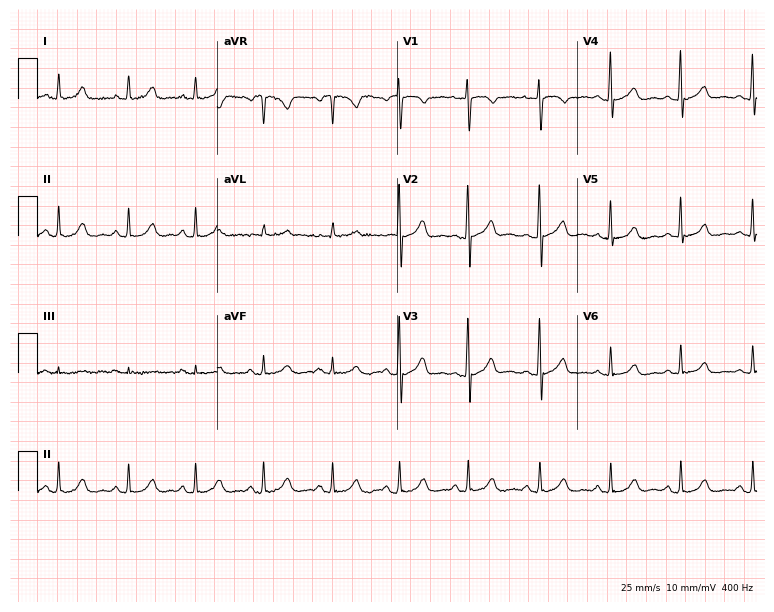
12-lead ECG (7.3-second recording at 400 Hz) from a woman, 26 years old. Screened for six findings — first-degree AV block, right bundle branch block, left bundle branch block, sinus bradycardia, atrial fibrillation, sinus tachycardia — none is recorded.